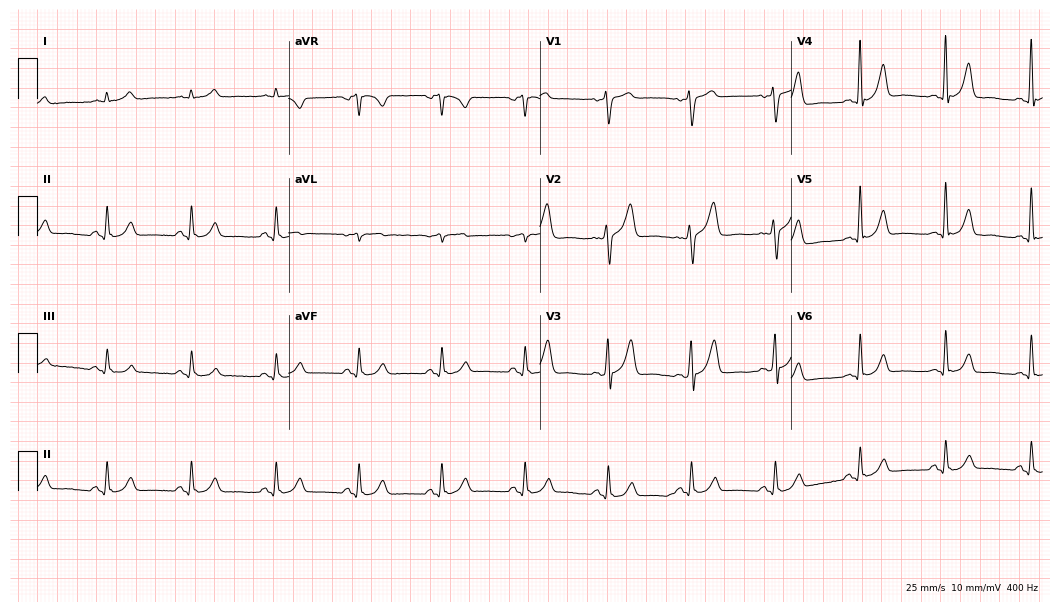
Resting 12-lead electrocardiogram. Patient: a 50-year-old man. Read as a normal ECG.